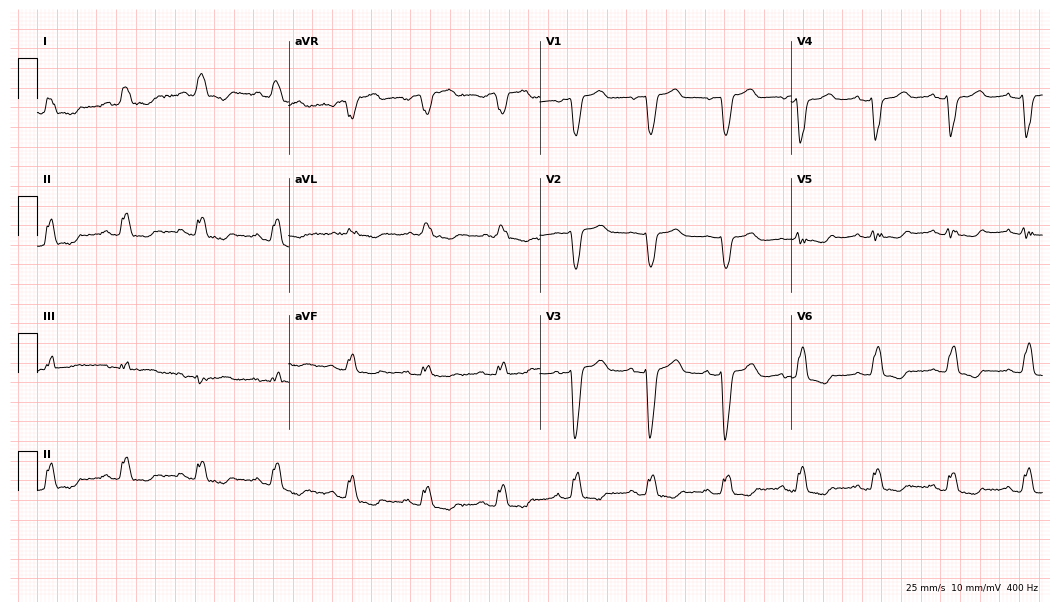
Standard 12-lead ECG recorded from a 77-year-old female patient. The tracing shows left bundle branch block.